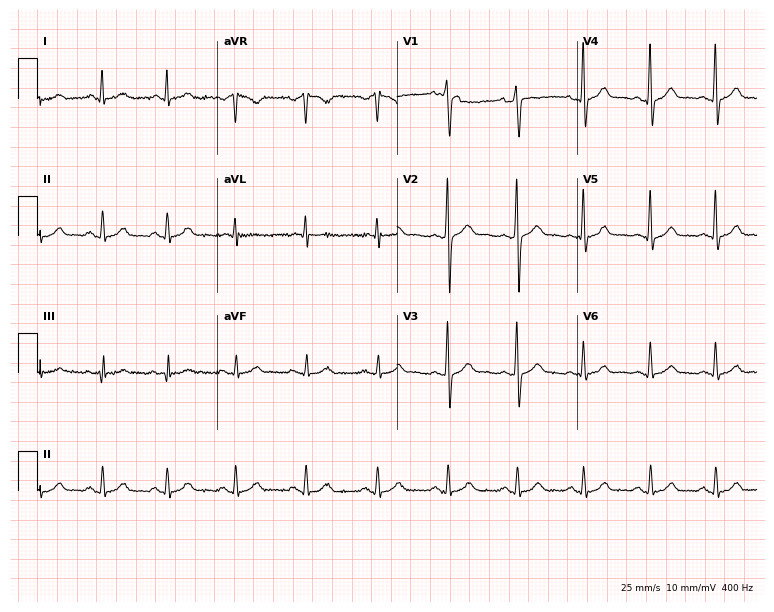
Electrocardiogram (7.3-second recording at 400 Hz), a 23-year-old male patient. Overall reading on record: normal ECG.